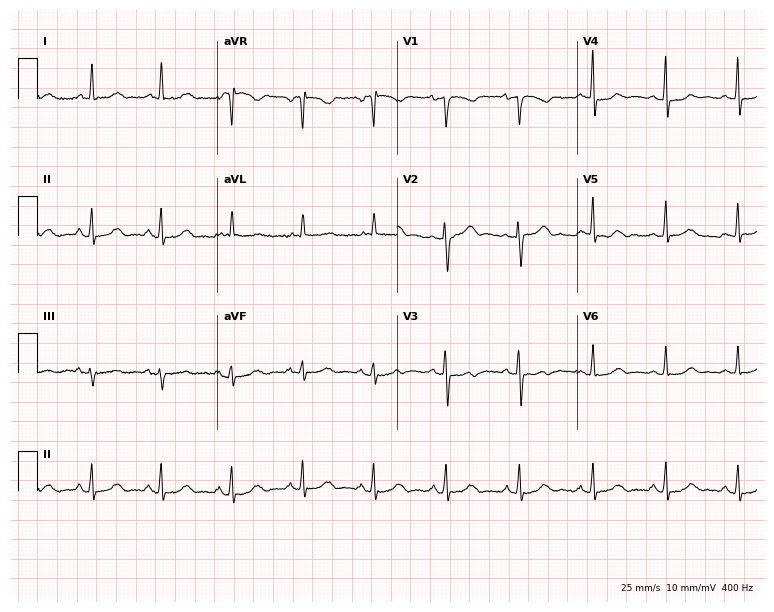
12-lead ECG (7.3-second recording at 400 Hz) from a female, 56 years old. Labelled as a normal ECG.